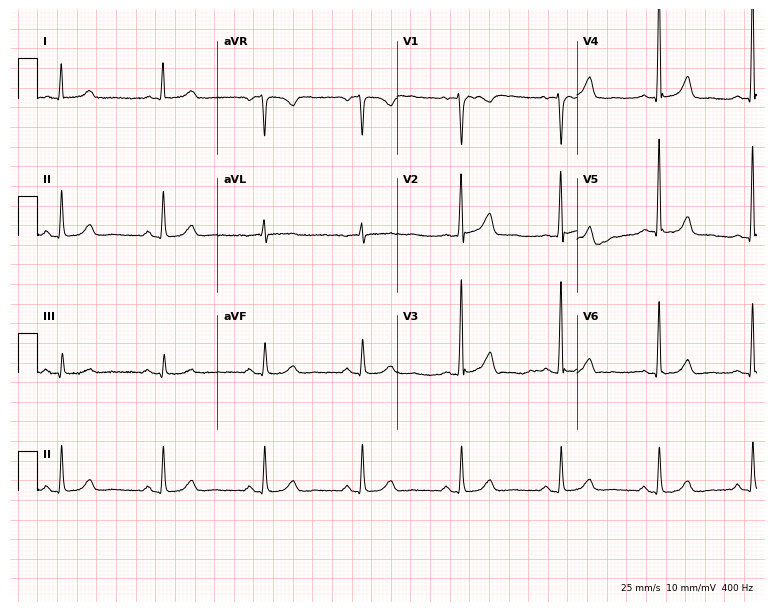
Standard 12-lead ECG recorded from a 58-year-old female. Read as a normal ECG.